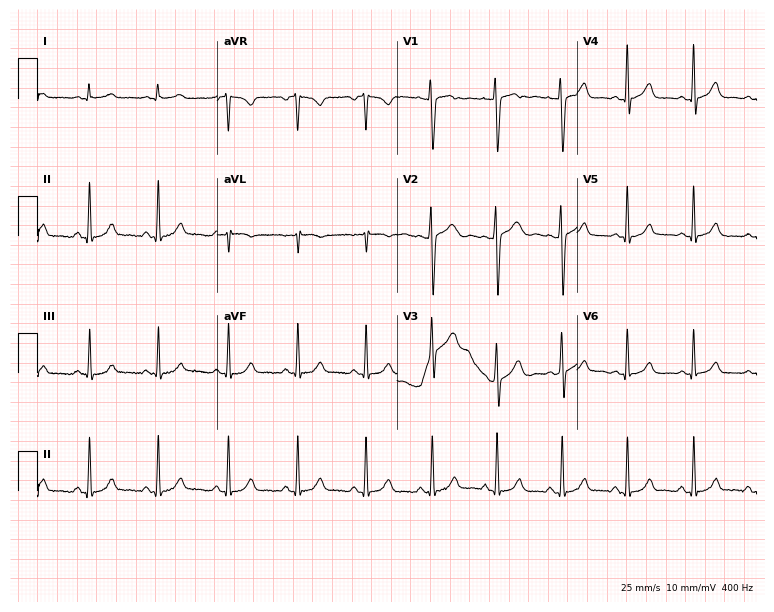
12-lead ECG from a 27-year-old woman. Labelled as a normal ECG.